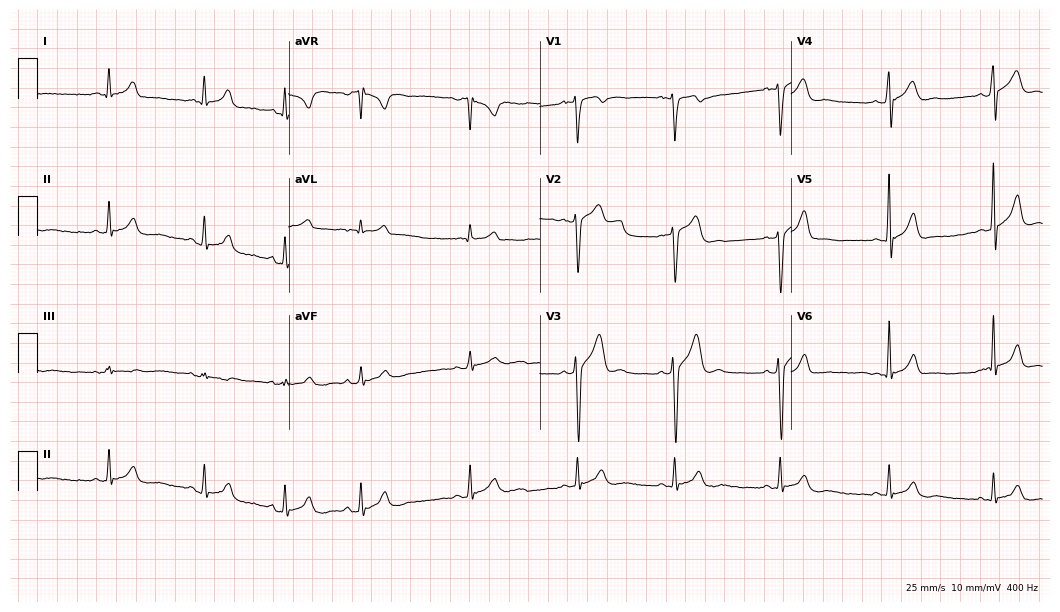
ECG (10.2-second recording at 400 Hz) — a 19-year-old male patient. Labelled as a normal ECG.